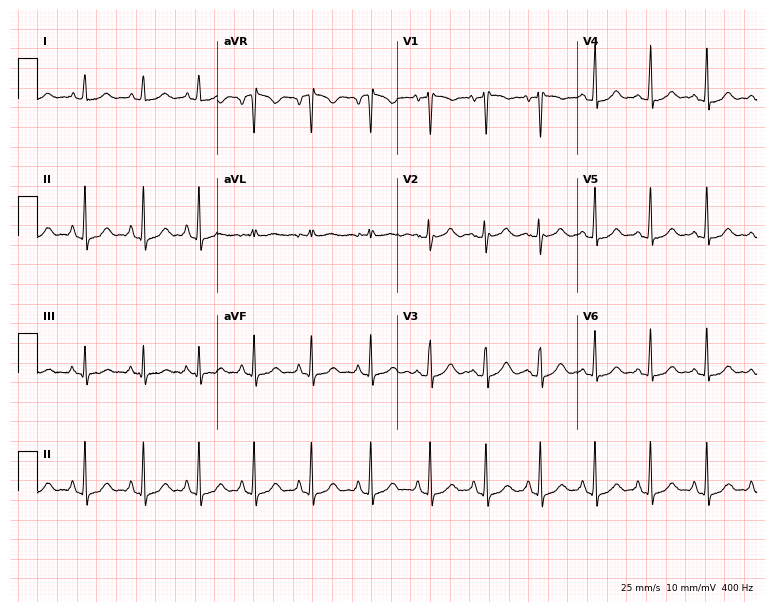
Resting 12-lead electrocardiogram. Patient: a female, 26 years old. Read as a normal ECG.